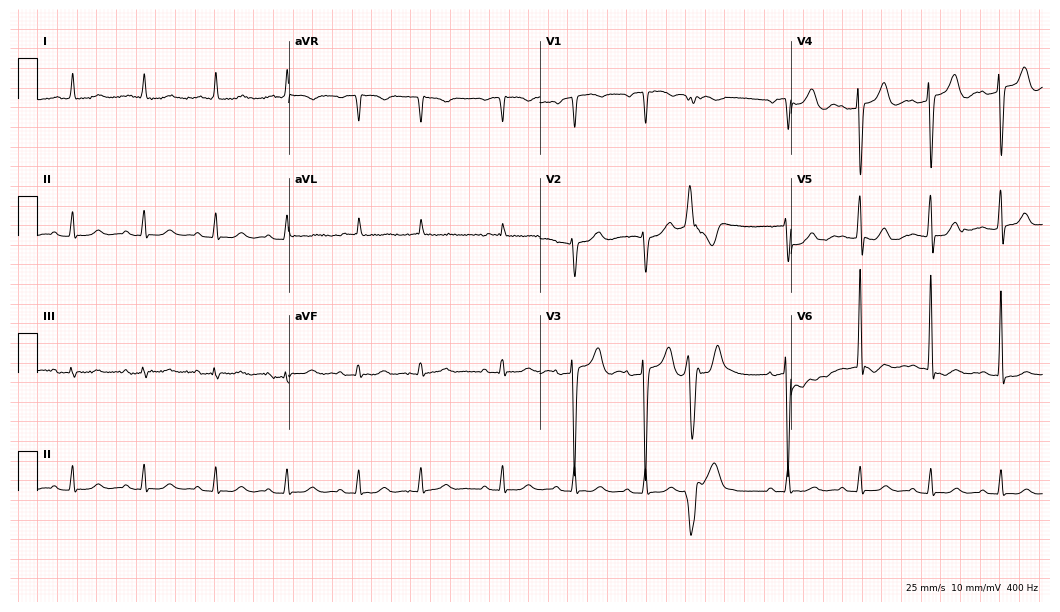
12-lead ECG (10.2-second recording at 400 Hz) from a male patient, 78 years old. Screened for six findings — first-degree AV block, right bundle branch block (RBBB), left bundle branch block (LBBB), sinus bradycardia, atrial fibrillation (AF), sinus tachycardia — none is recorded. Findings outside these six are not listed.